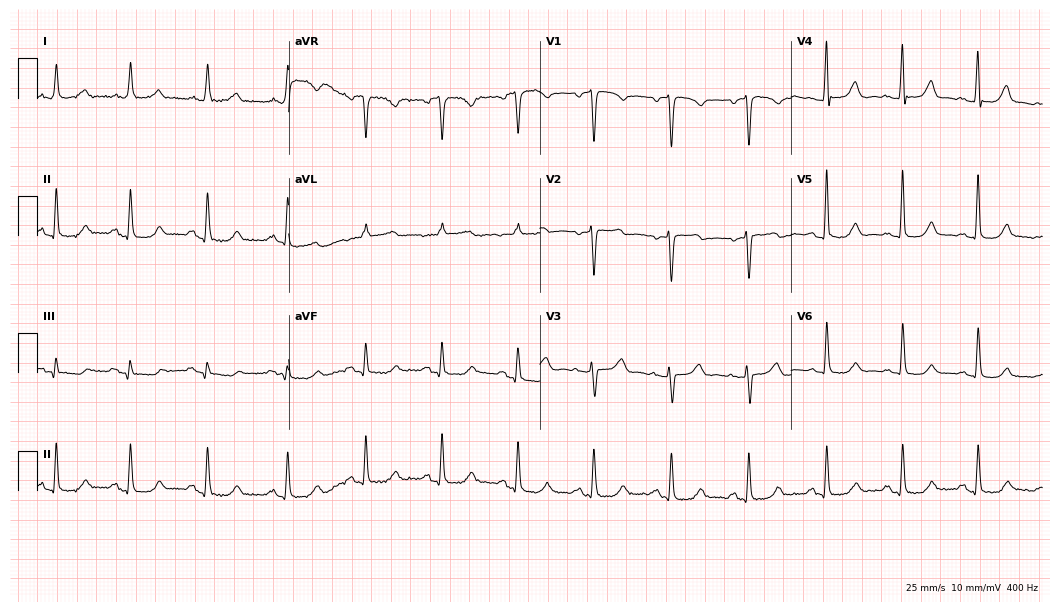
12-lead ECG (10.2-second recording at 400 Hz) from a man, 25 years old. Screened for six findings — first-degree AV block, right bundle branch block, left bundle branch block, sinus bradycardia, atrial fibrillation, sinus tachycardia — none is recorded. Other findings, if any, are not listed.